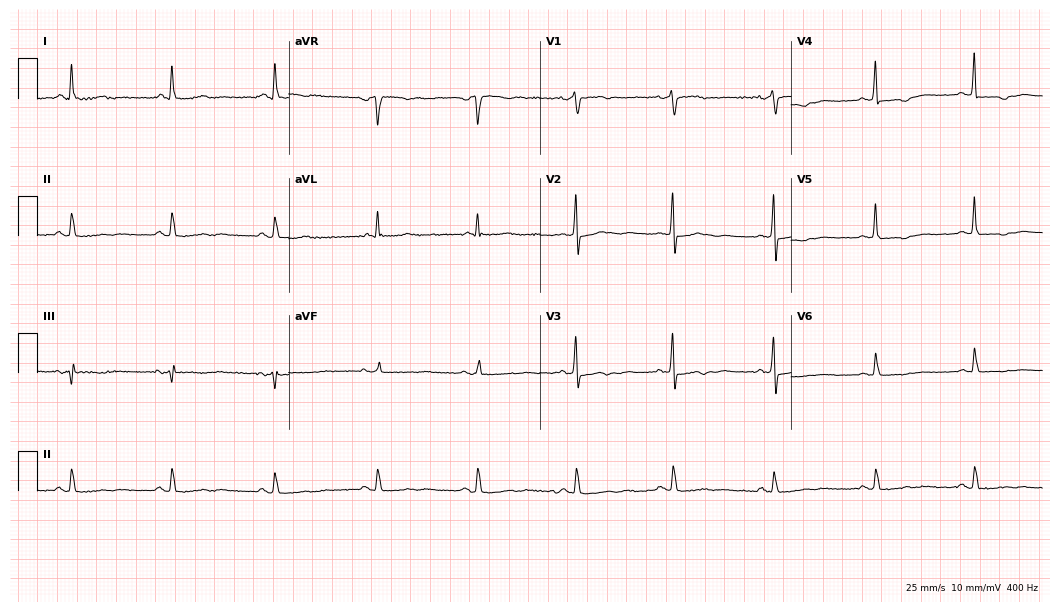
Resting 12-lead electrocardiogram (10.2-second recording at 400 Hz). Patient: a woman, 78 years old. None of these six findings is recorded: first-degree AV block, right bundle branch block, left bundle branch block, sinus bradycardia, atrial fibrillation, sinus tachycardia. Findings outside these six are not listed.